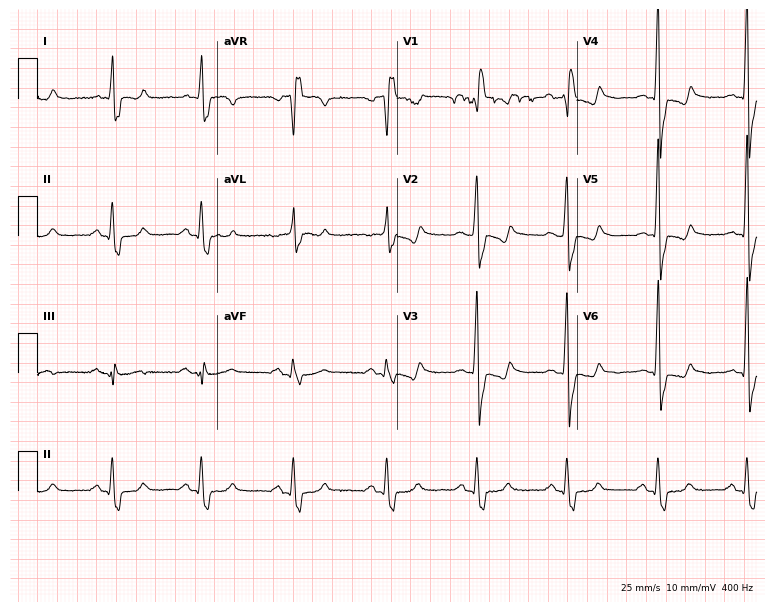
ECG (7.3-second recording at 400 Hz) — a male patient, 59 years old. Screened for six findings — first-degree AV block, right bundle branch block, left bundle branch block, sinus bradycardia, atrial fibrillation, sinus tachycardia — none is recorded.